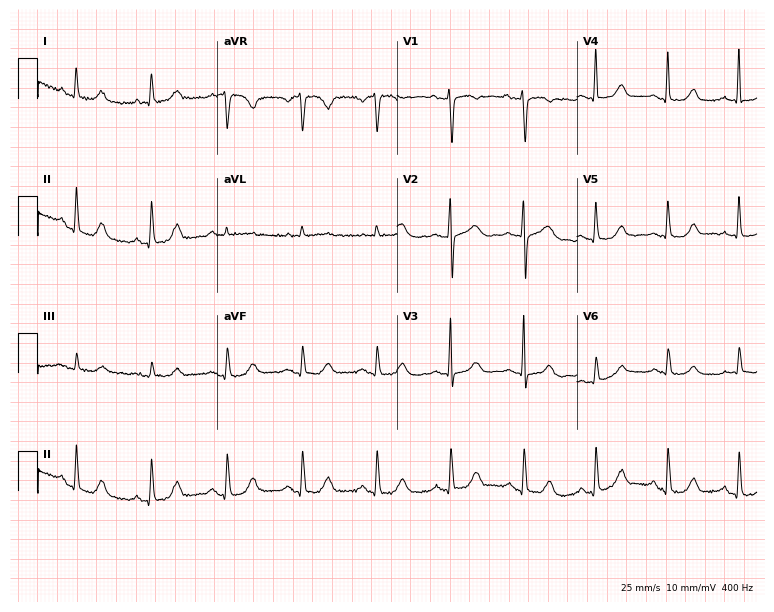
12-lead ECG from a female, 84 years old. Recorded interpretation: within normal limits.